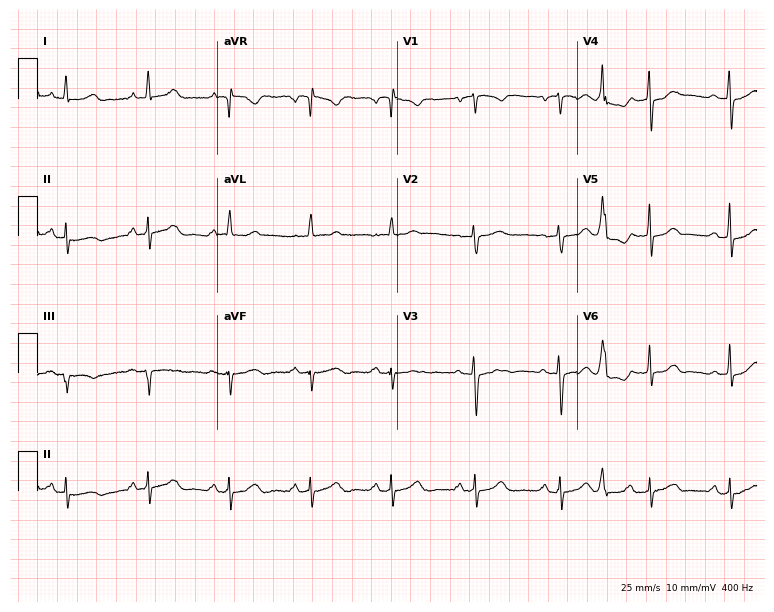
12-lead ECG from a female, 61 years old. Screened for six findings — first-degree AV block, right bundle branch block, left bundle branch block, sinus bradycardia, atrial fibrillation, sinus tachycardia — none is recorded.